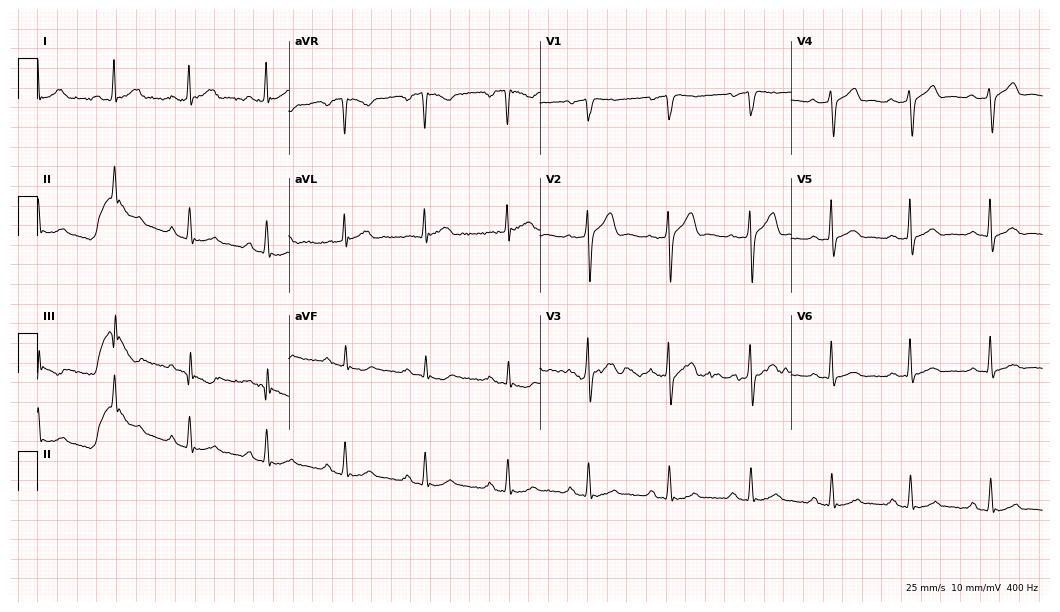
Standard 12-lead ECG recorded from a male, 56 years old. Read as a normal ECG.